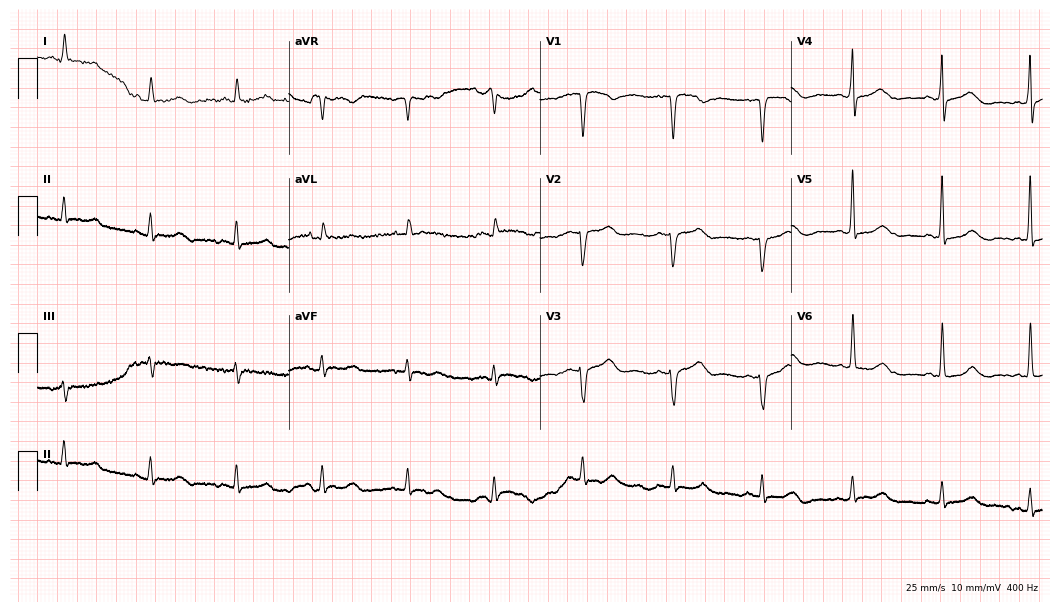
Electrocardiogram (10.2-second recording at 400 Hz), a male patient, 64 years old. Of the six screened findings (first-degree AV block, right bundle branch block (RBBB), left bundle branch block (LBBB), sinus bradycardia, atrial fibrillation (AF), sinus tachycardia), none is recorded.